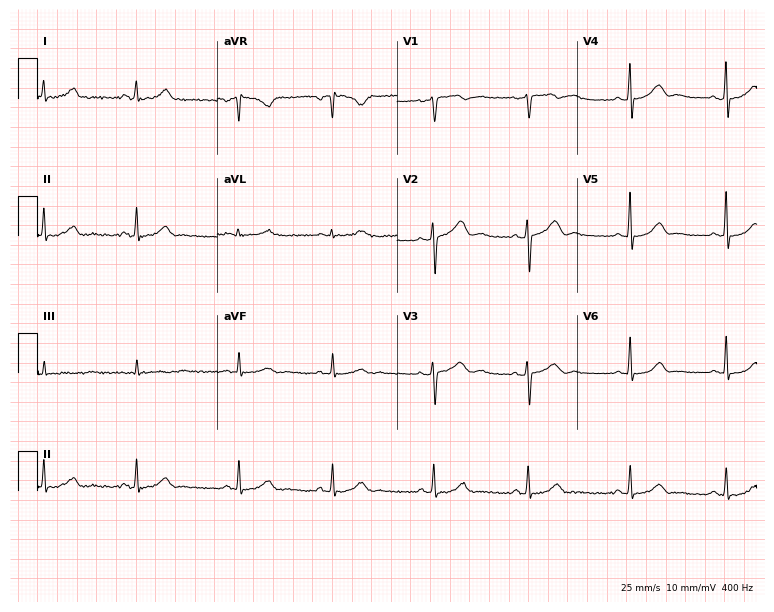
Electrocardiogram (7.3-second recording at 400 Hz), a female patient, 30 years old. Of the six screened findings (first-degree AV block, right bundle branch block, left bundle branch block, sinus bradycardia, atrial fibrillation, sinus tachycardia), none is recorded.